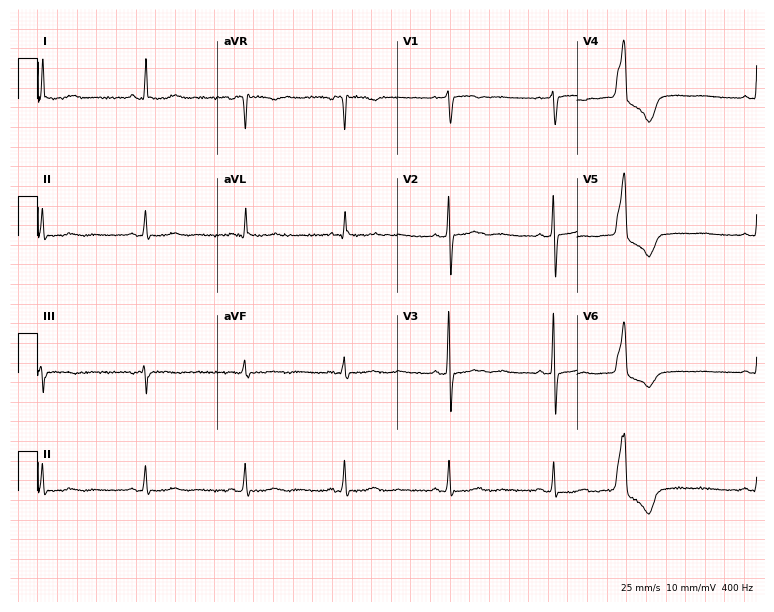
12-lead ECG from a woman, 73 years old. No first-degree AV block, right bundle branch block (RBBB), left bundle branch block (LBBB), sinus bradycardia, atrial fibrillation (AF) or sinus tachycardia recorded for this tracing.